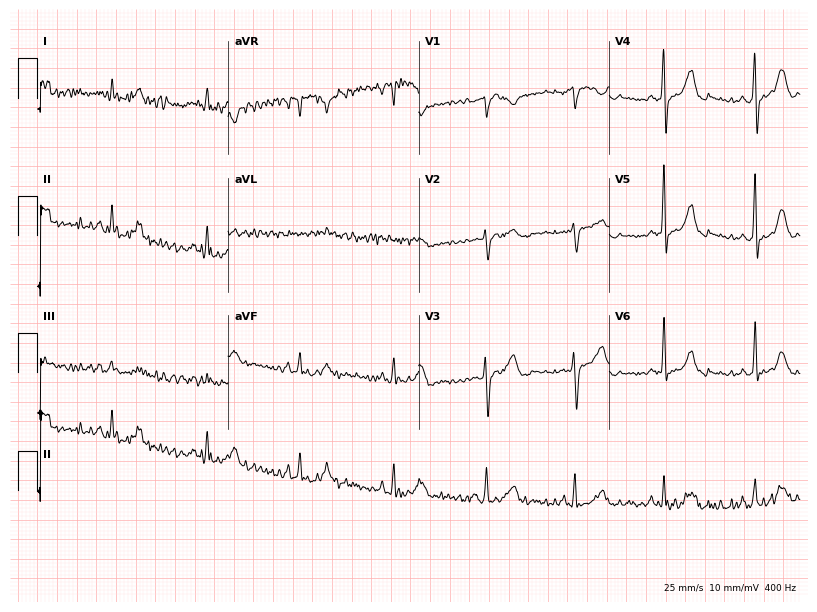
Resting 12-lead electrocardiogram. Patient: a 44-year-old man. Read as a normal ECG.